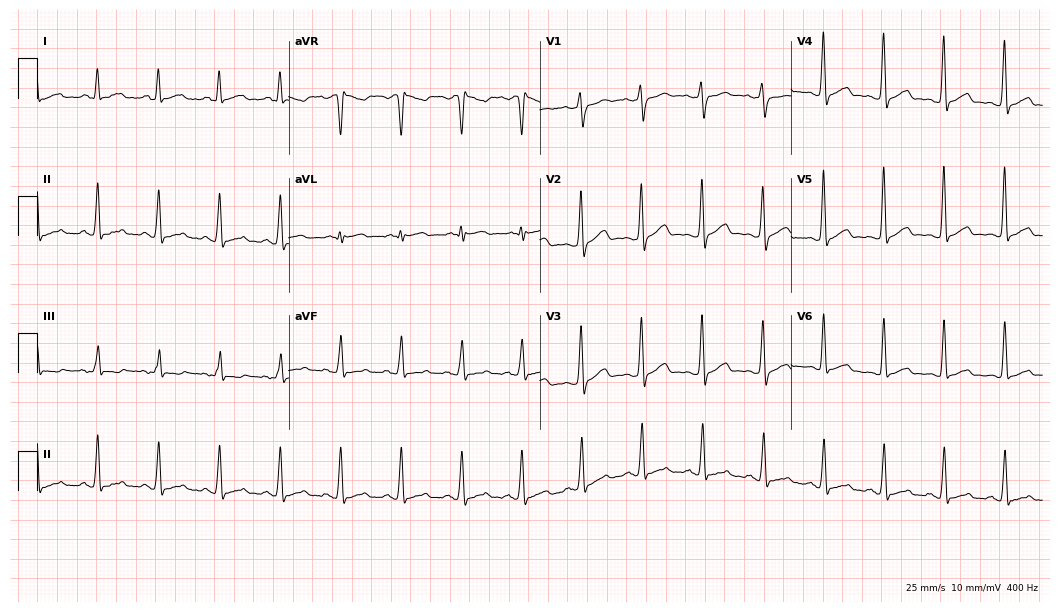
12-lead ECG from a female patient, 57 years old. Recorded interpretation: within normal limits.